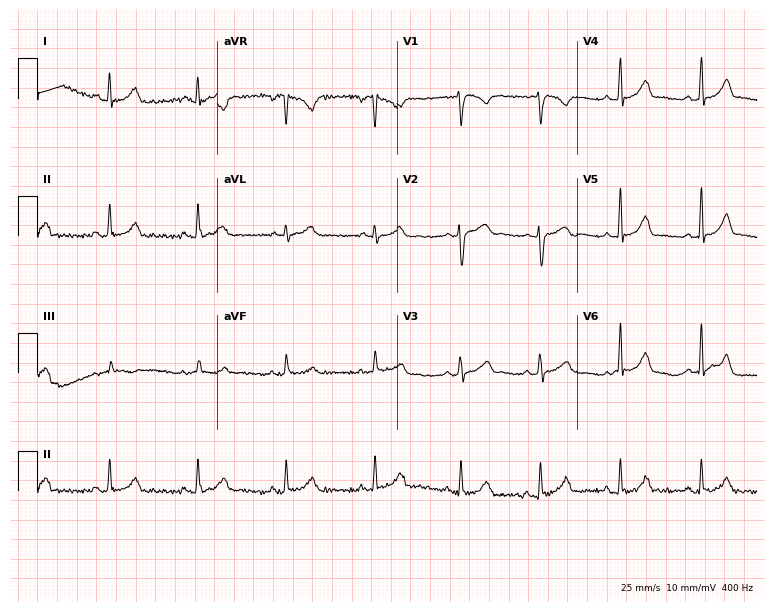
ECG (7.3-second recording at 400 Hz) — a woman, 25 years old. Screened for six findings — first-degree AV block, right bundle branch block, left bundle branch block, sinus bradycardia, atrial fibrillation, sinus tachycardia — none is recorded.